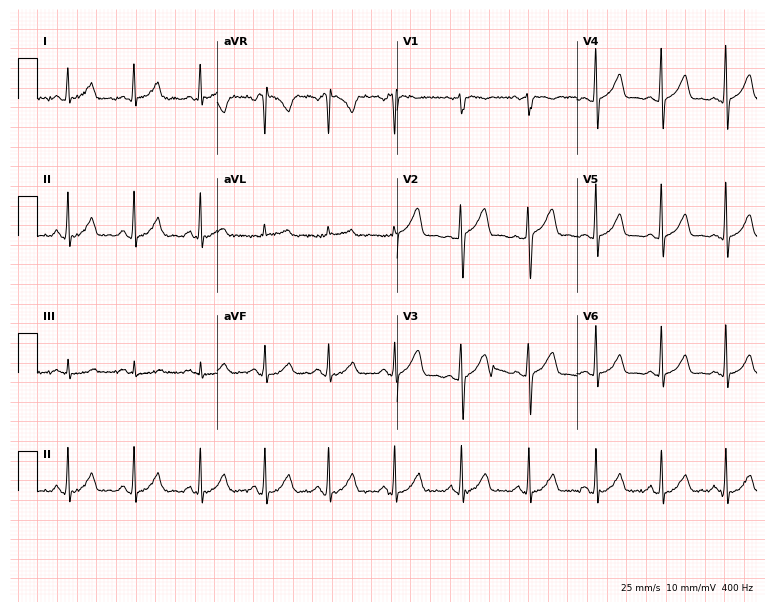
Electrocardiogram (7.3-second recording at 400 Hz), a 34-year-old female patient. Overall reading on record: normal ECG.